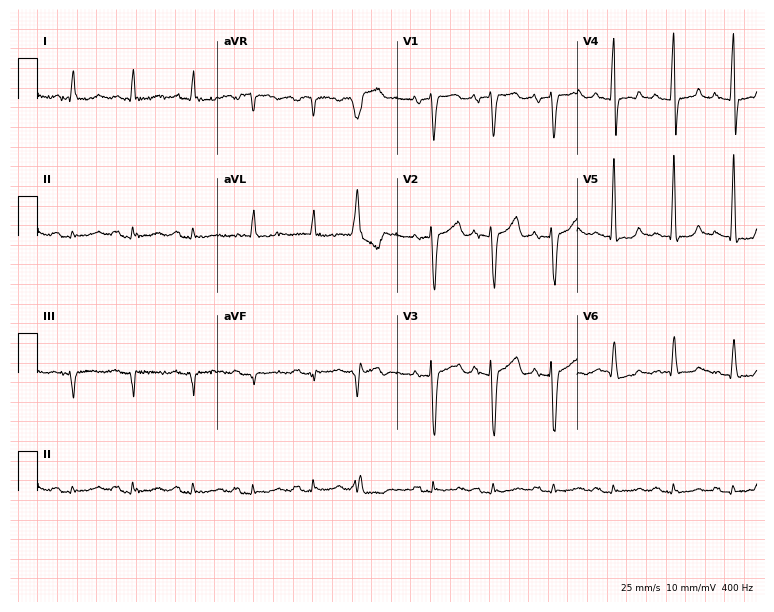
ECG (7.3-second recording at 400 Hz) — a male patient, 84 years old. Screened for six findings — first-degree AV block, right bundle branch block, left bundle branch block, sinus bradycardia, atrial fibrillation, sinus tachycardia — none is recorded.